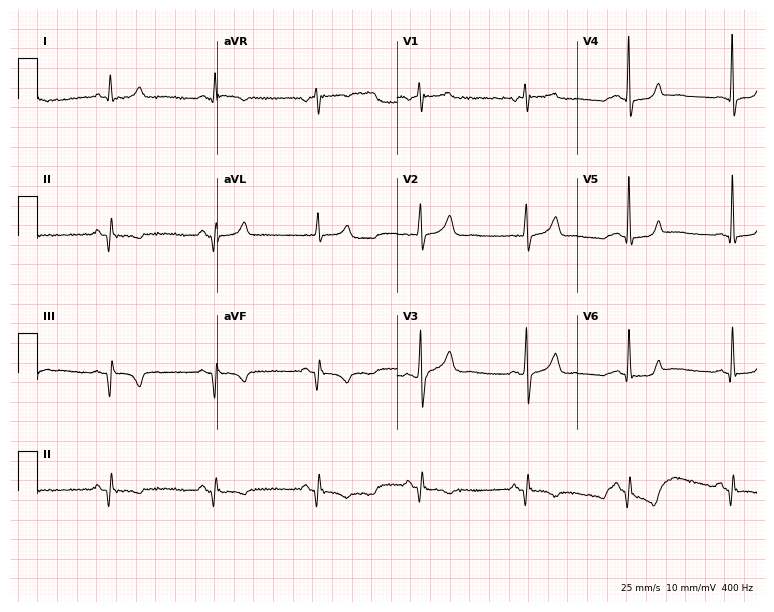
ECG — a male patient, 54 years old. Screened for six findings — first-degree AV block, right bundle branch block (RBBB), left bundle branch block (LBBB), sinus bradycardia, atrial fibrillation (AF), sinus tachycardia — none is recorded.